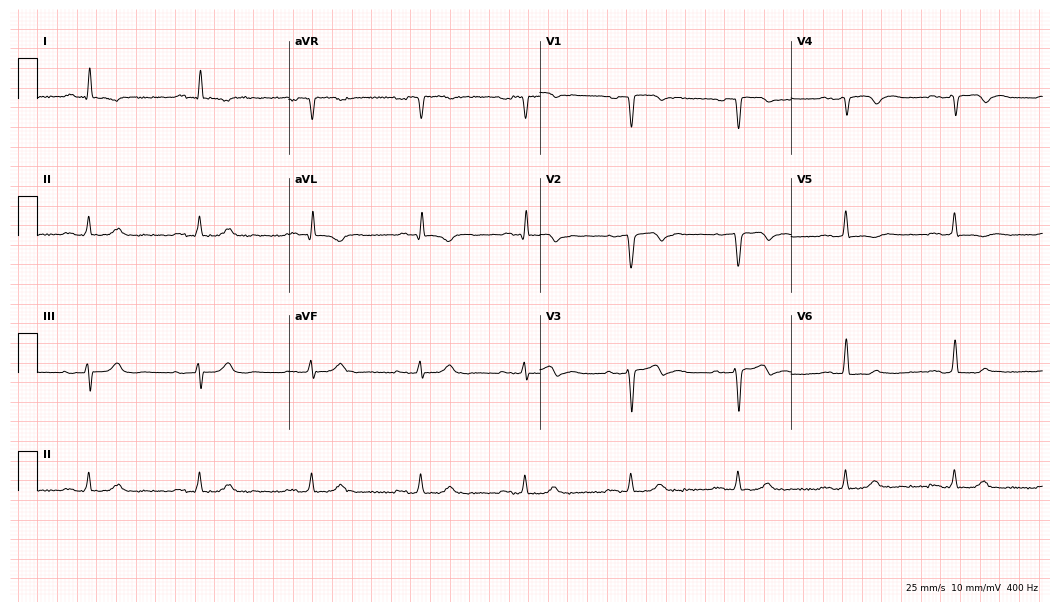
Resting 12-lead electrocardiogram. Patient: a male, 62 years old. None of these six findings is recorded: first-degree AV block, right bundle branch block, left bundle branch block, sinus bradycardia, atrial fibrillation, sinus tachycardia. Findings outside these six are not listed.